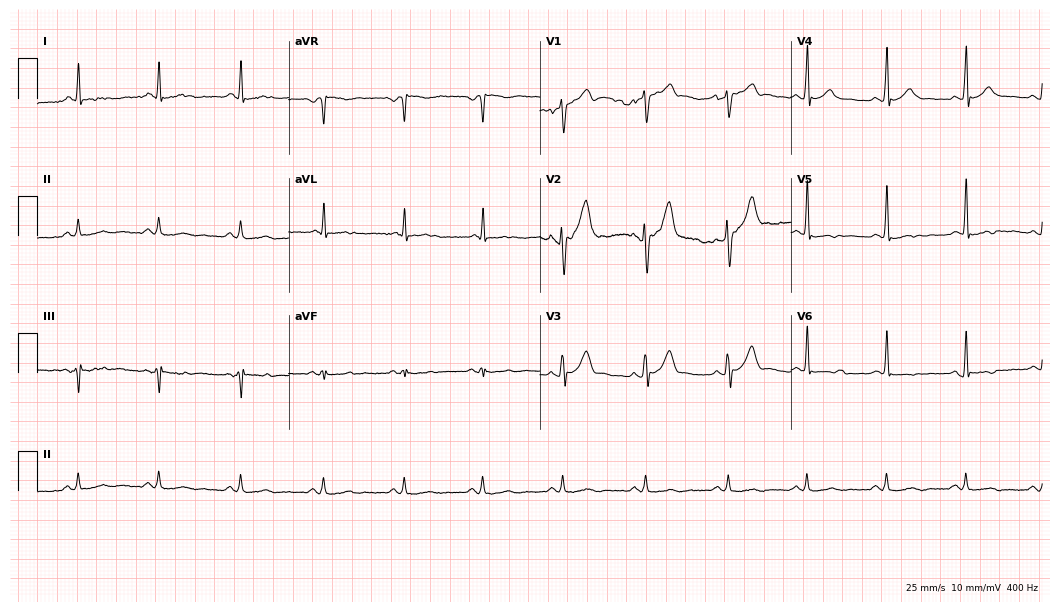
Standard 12-lead ECG recorded from a 43-year-old man (10.2-second recording at 400 Hz). None of these six findings is recorded: first-degree AV block, right bundle branch block, left bundle branch block, sinus bradycardia, atrial fibrillation, sinus tachycardia. Findings outside these six are not listed.